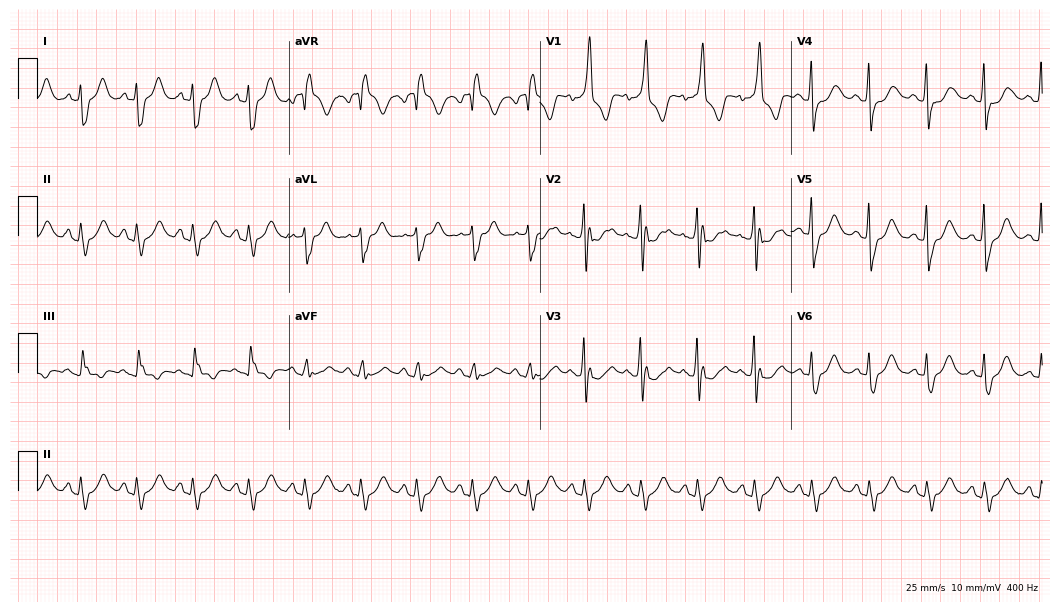
Electrocardiogram, a man, 63 years old. Interpretation includes right bundle branch block (RBBB), sinus tachycardia (a sinus rate of 100 beats per minute or more).